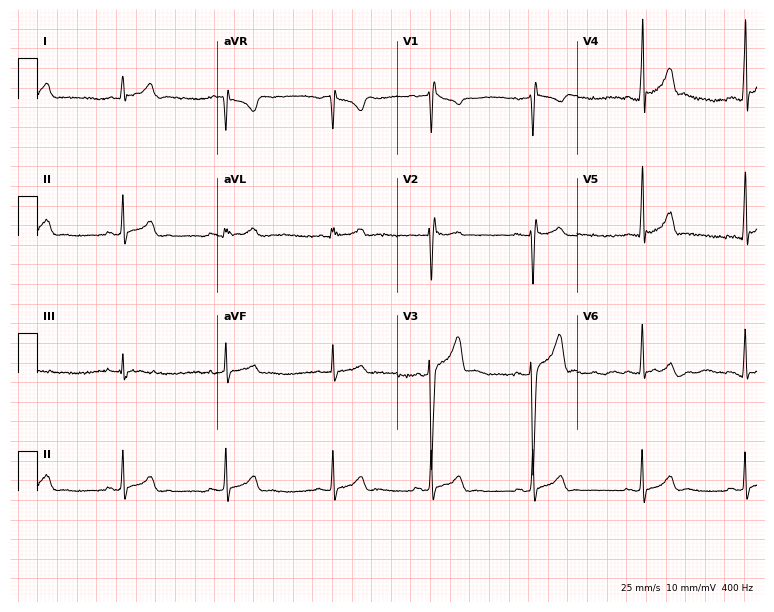
ECG (7.3-second recording at 400 Hz) — a male patient, 21 years old. Labelled as a normal ECG.